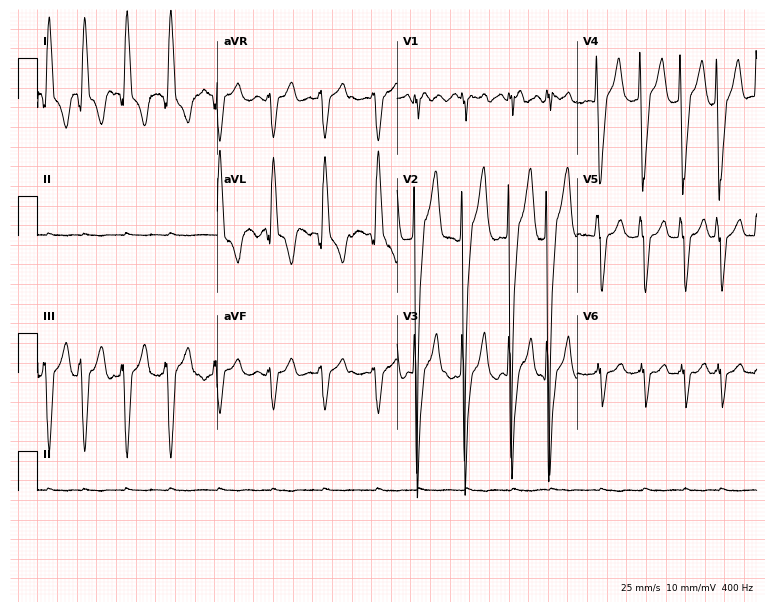
Standard 12-lead ECG recorded from a 40-year-old man. None of these six findings is recorded: first-degree AV block, right bundle branch block, left bundle branch block, sinus bradycardia, atrial fibrillation, sinus tachycardia. Only these six findings were labelled.